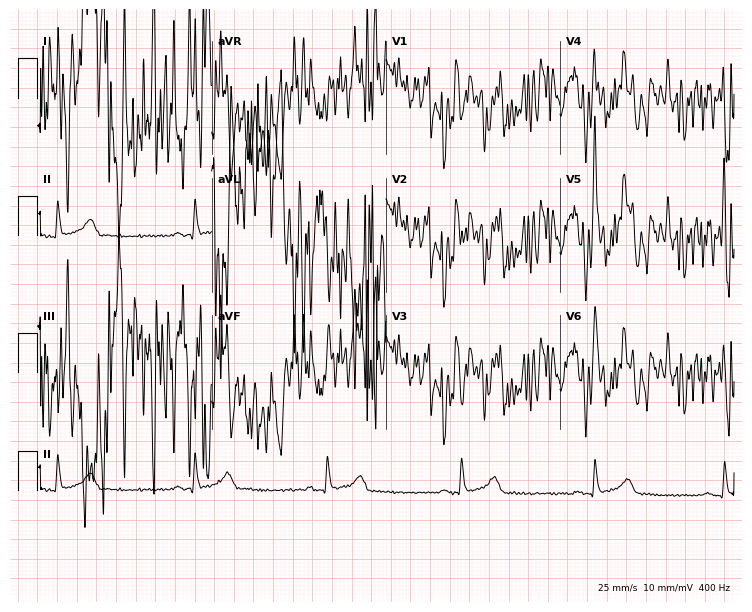
ECG — a male patient, 48 years old. Screened for six findings — first-degree AV block, right bundle branch block, left bundle branch block, sinus bradycardia, atrial fibrillation, sinus tachycardia — none is recorded. Other findings, if any, are not listed.